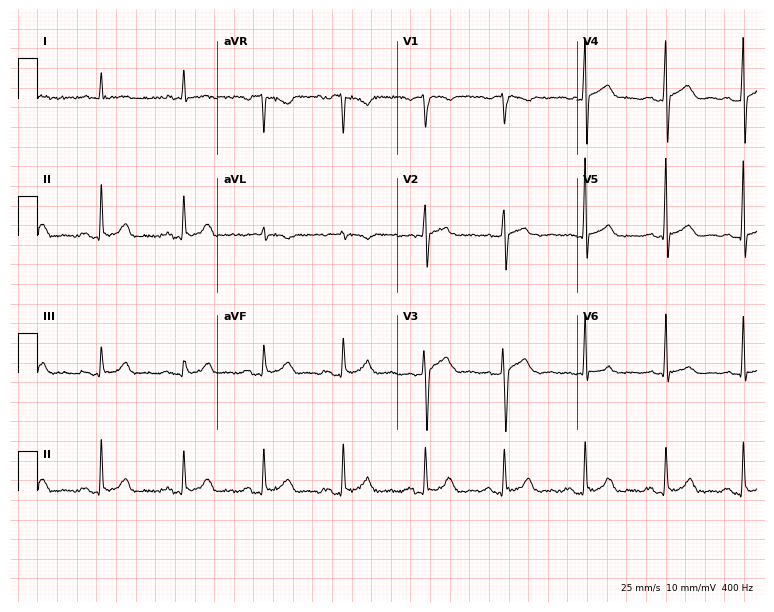
12-lead ECG from a 76-year-old male patient. No first-degree AV block, right bundle branch block (RBBB), left bundle branch block (LBBB), sinus bradycardia, atrial fibrillation (AF) or sinus tachycardia recorded for this tracing.